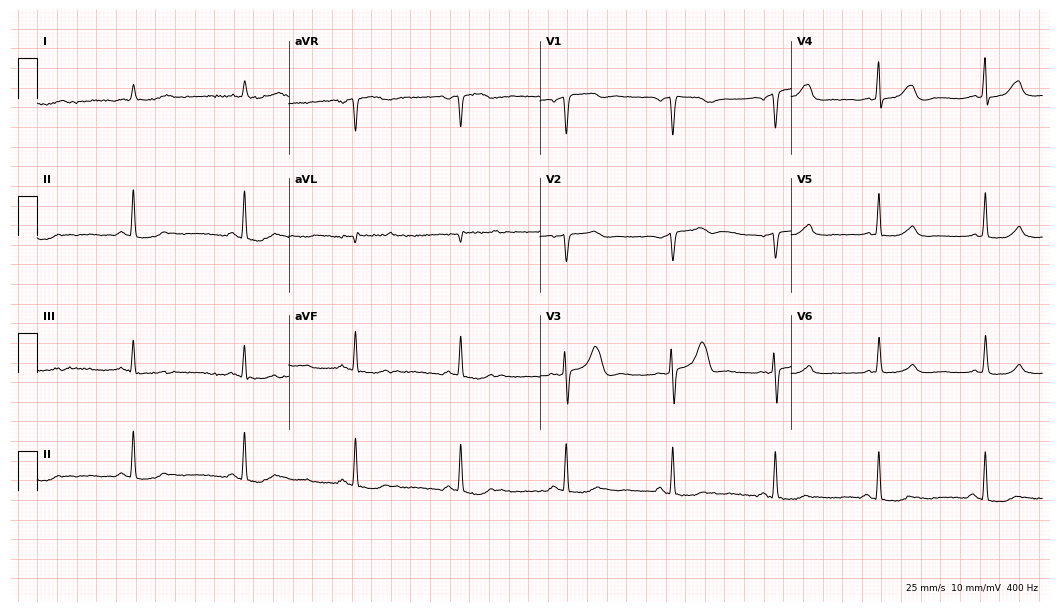
Resting 12-lead electrocardiogram. Patient: a man, 71 years old. None of these six findings is recorded: first-degree AV block, right bundle branch block (RBBB), left bundle branch block (LBBB), sinus bradycardia, atrial fibrillation (AF), sinus tachycardia. Other findings, if any, are not listed.